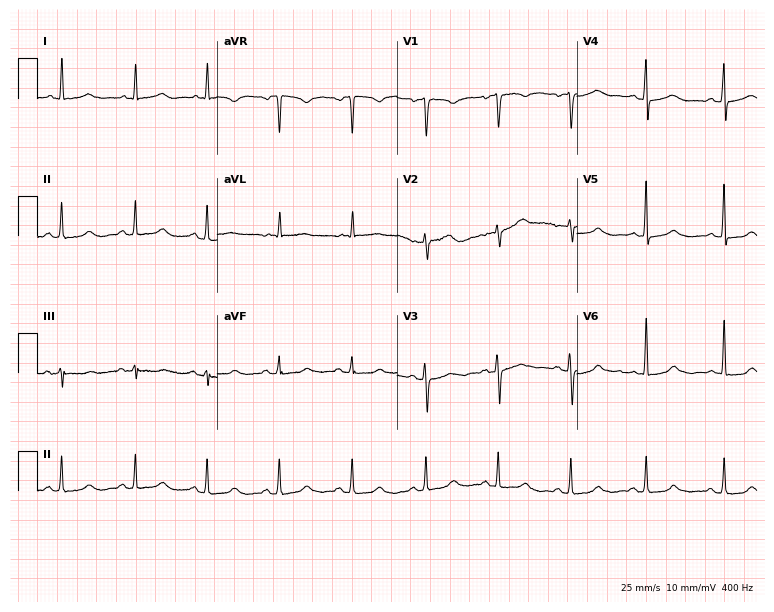
12-lead ECG from a female, 51 years old (7.3-second recording at 400 Hz). Recorded interpretation: within normal limits.